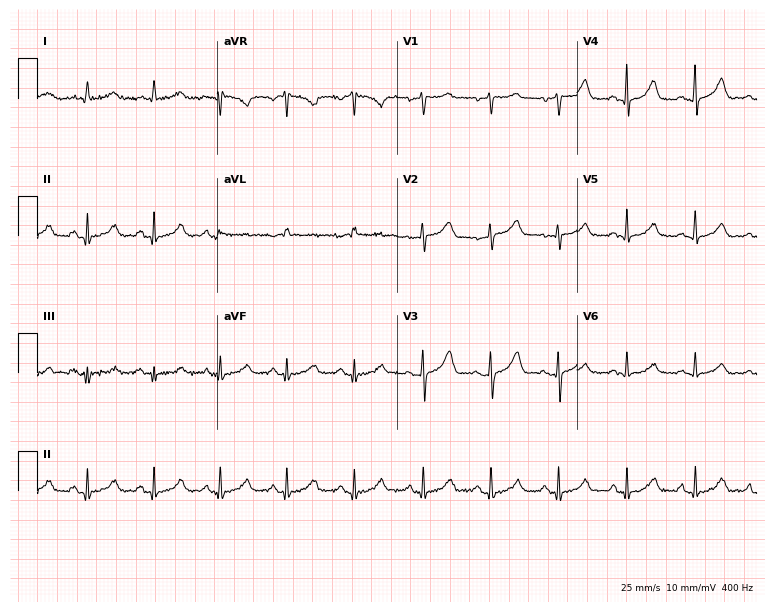
Standard 12-lead ECG recorded from a 62-year-old female (7.3-second recording at 400 Hz). Read as a normal ECG.